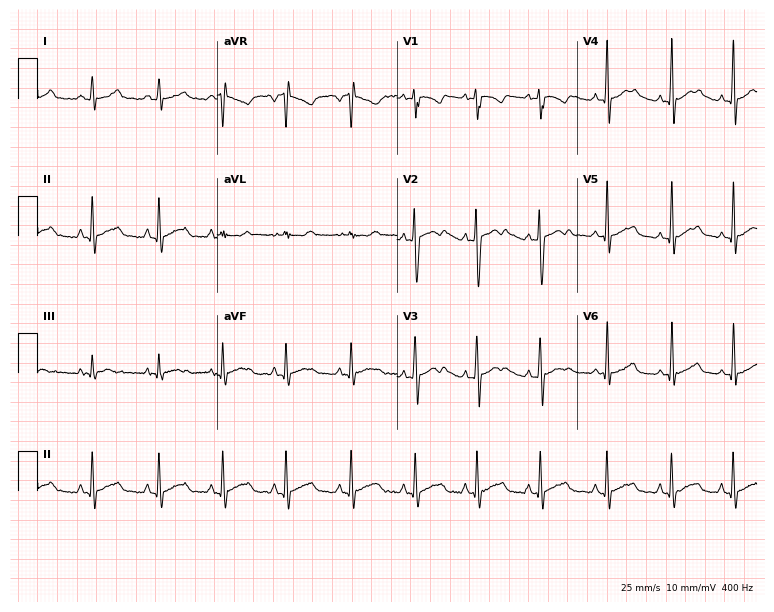
ECG (7.3-second recording at 400 Hz) — a female, 17 years old. Labelled as a normal ECG.